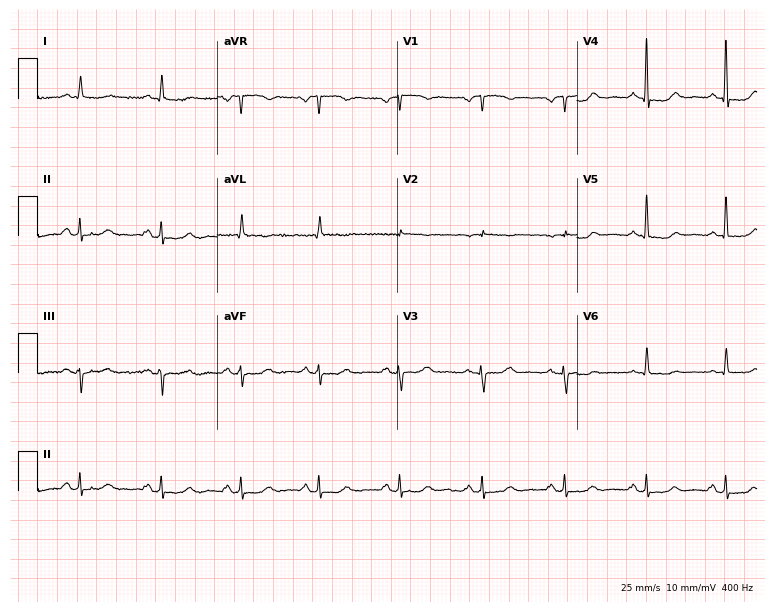
ECG (7.3-second recording at 400 Hz) — a 61-year-old woman. Screened for six findings — first-degree AV block, right bundle branch block, left bundle branch block, sinus bradycardia, atrial fibrillation, sinus tachycardia — none is recorded. Only these six findings were labelled.